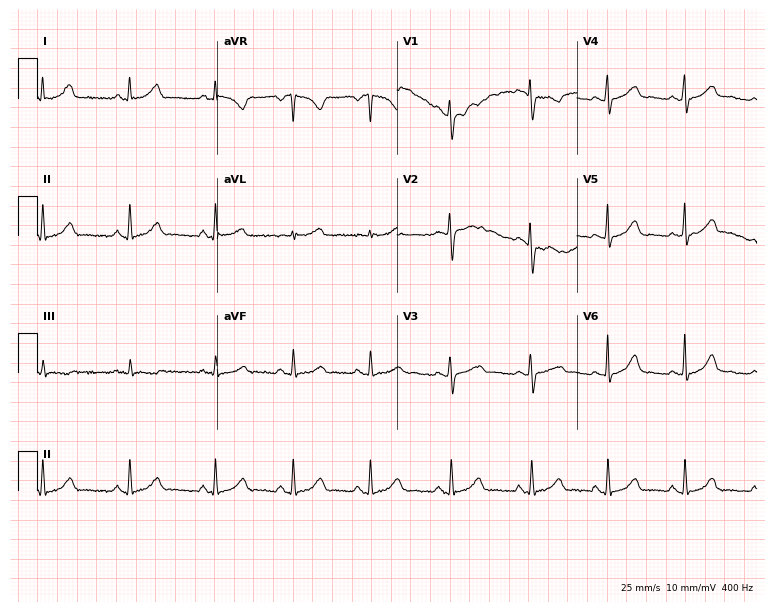
Electrocardiogram (7.3-second recording at 400 Hz), a female, 32 years old. Overall reading on record: normal ECG.